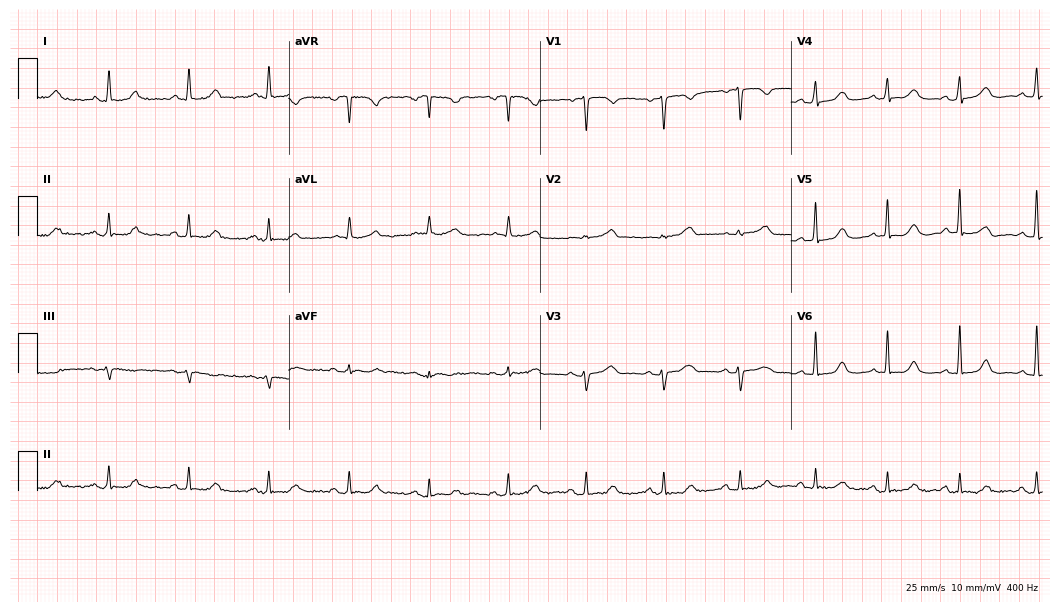
Resting 12-lead electrocardiogram. Patient: a 71-year-old female. Read as a normal ECG.